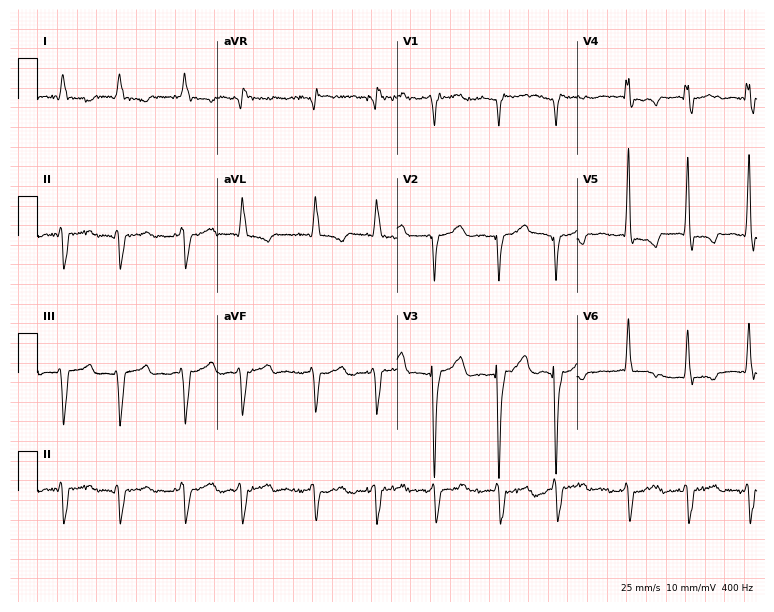
Electrocardiogram (7.3-second recording at 400 Hz), a male, 84 years old. Of the six screened findings (first-degree AV block, right bundle branch block, left bundle branch block, sinus bradycardia, atrial fibrillation, sinus tachycardia), none is recorded.